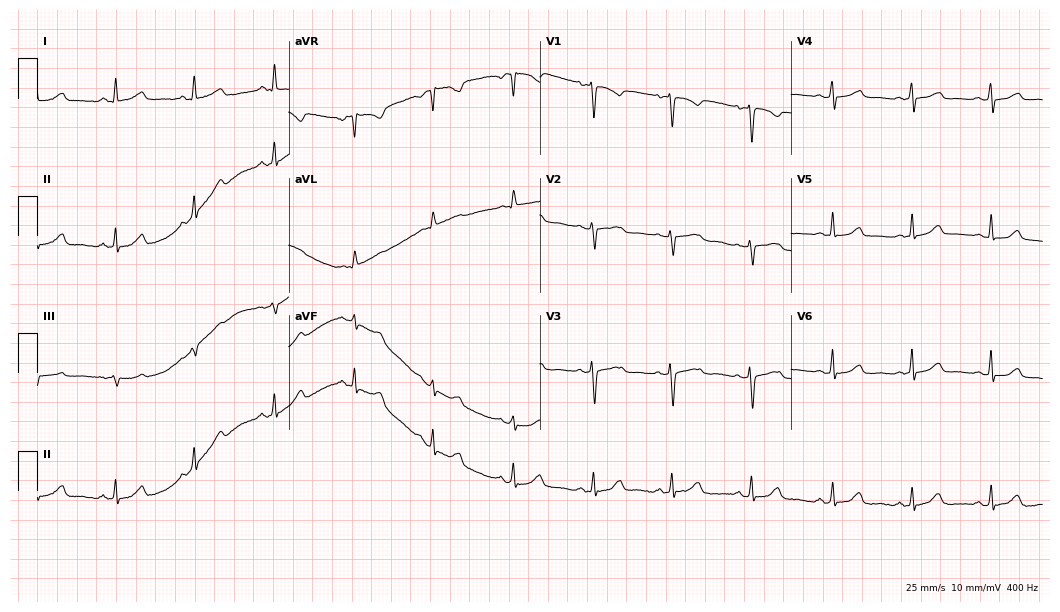
Standard 12-lead ECG recorded from a 43-year-old woman (10.2-second recording at 400 Hz). Read as a normal ECG.